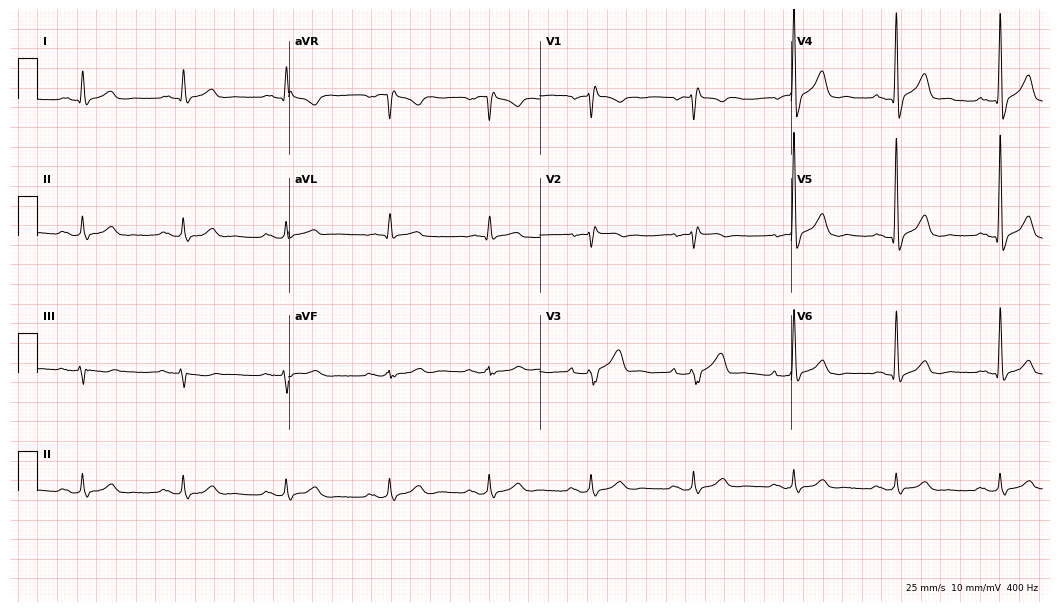
Electrocardiogram (10.2-second recording at 400 Hz), a man, 68 years old. Of the six screened findings (first-degree AV block, right bundle branch block (RBBB), left bundle branch block (LBBB), sinus bradycardia, atrial fibrillation (AF), sinus tachycardia), none is recorded. Only these six findings were labelled.